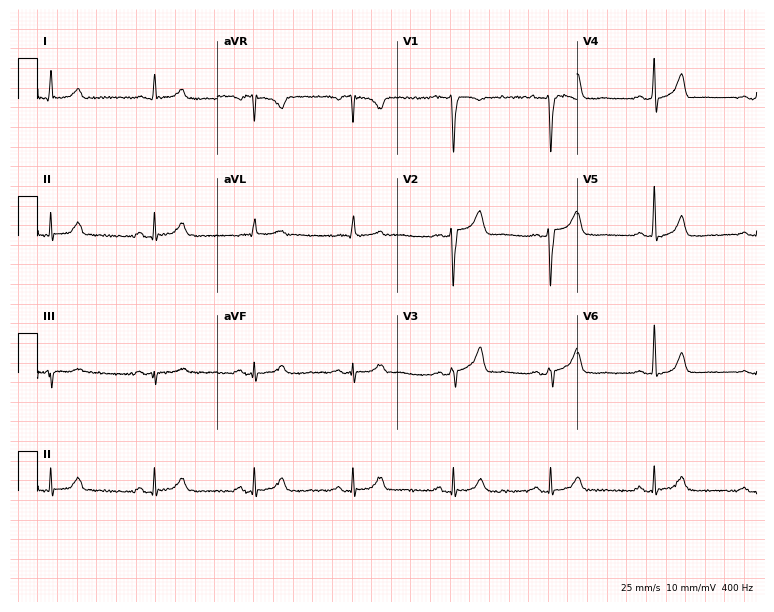
Standard 12-lead ECG recorded from a 65-year-old male patient (7.3-second recording at 400 Hz). Read as a normal ECG.